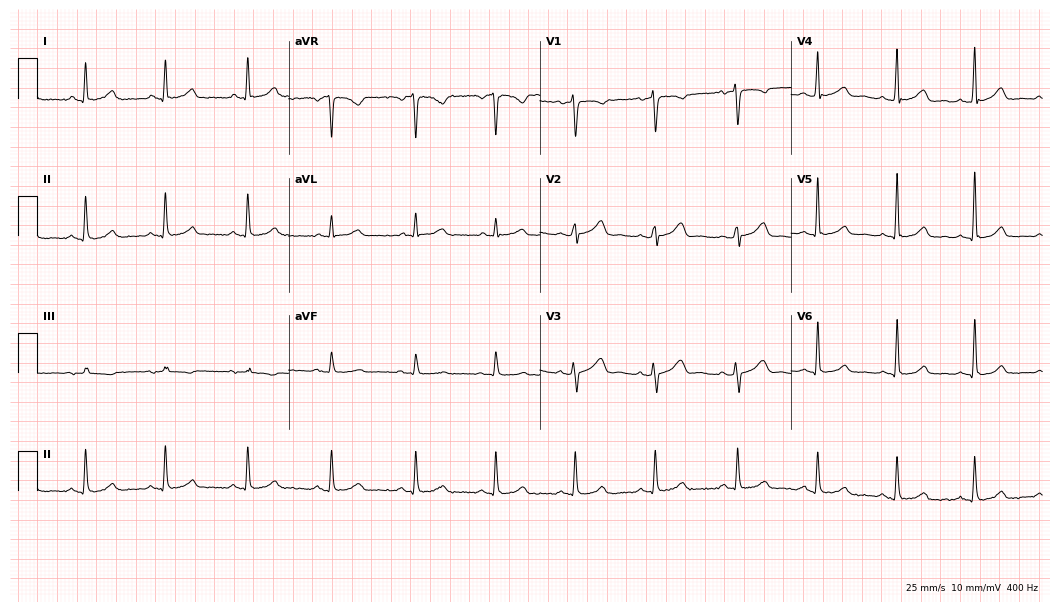
Resting 12-lead electrocardiogram. Patient: a 44-year-old female. Read as a normal ECG.